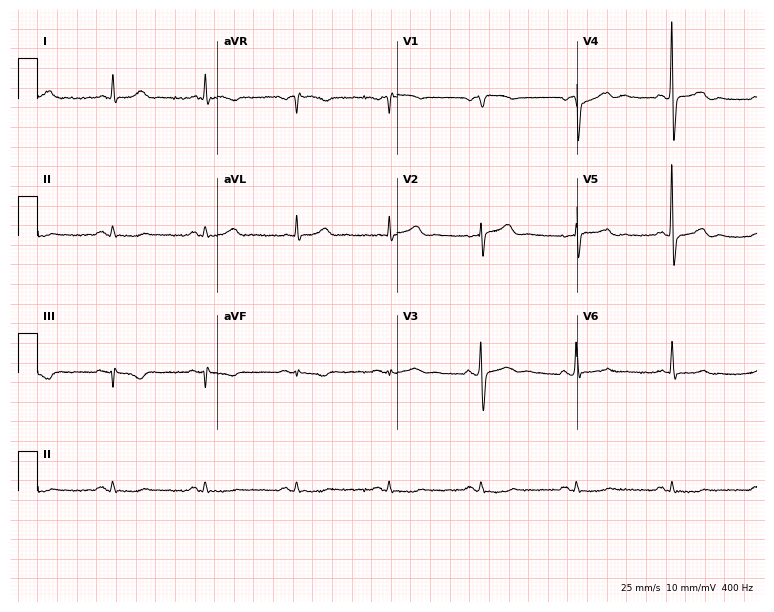
Electrocardiogram, a 75-year-old male patient. Of the six screened findings (first-degree AV block, right bundle branch block (RBBB), left bundle branch block (LBBB), sinus bradycardia, atrial fibrillation (AF), sinus tachycardia), none is recorded.